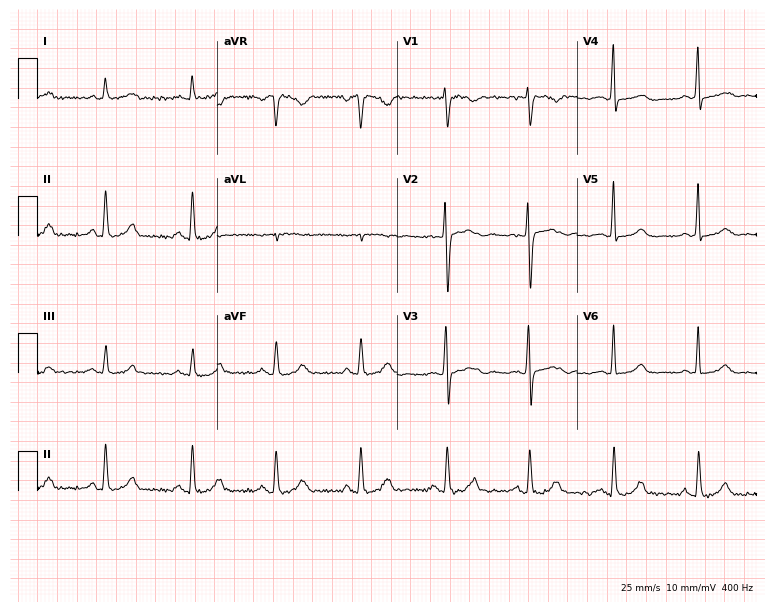
Electrocardiogram, a 23-year-old woman. Of the six screened findings (first-degree AV block, right bundle branch block, left bundle branch block, sinus bradycardia, atrial fibrillation, sinus tachycardia), none is recorded. Only these six findings were labelled.